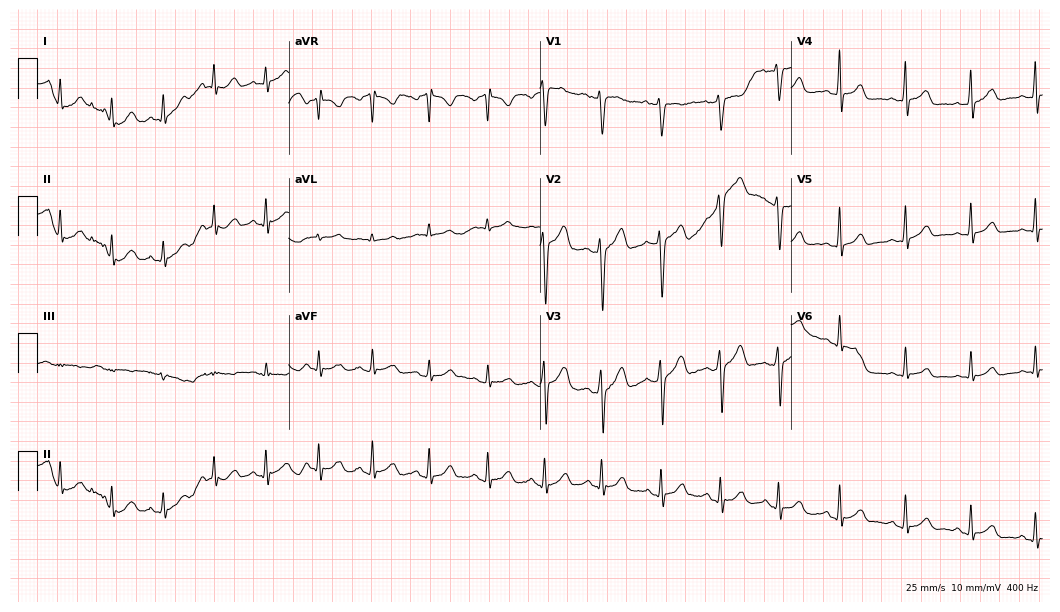
12-lead ECG from a 20-year-old male patient. Findings include sinus tachycardia (a sinus rate of 100 beats per minute or more).